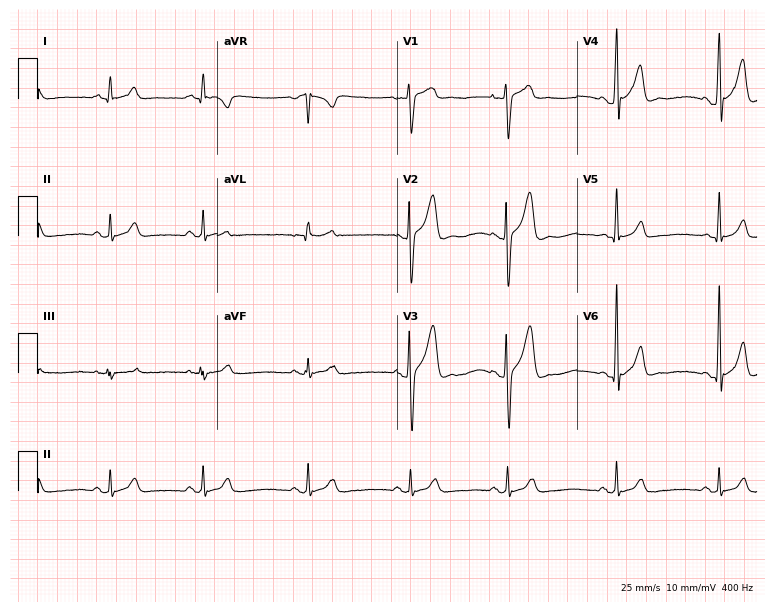
Standard 12-lead ECG recorded from a male, 21 years old. Read as a normal ECG.